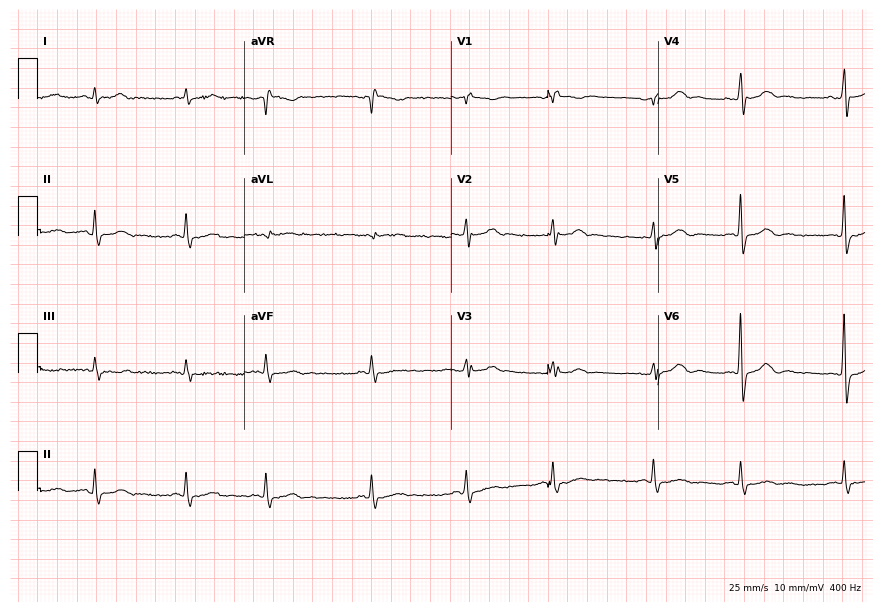
ECG — a man, 70 years old. Findings include atrial fibrillation (AF).